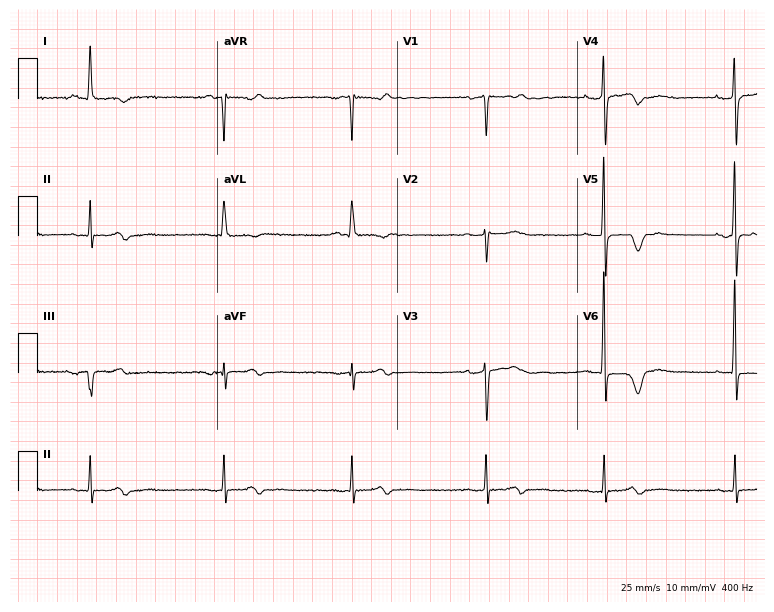
Electrocardiogram (7.3-second recording at 400 Hz), a female patient, 57 years old. Interpretation includes sinus bradycardia (a sinus rate of 50 beats per minute or less).